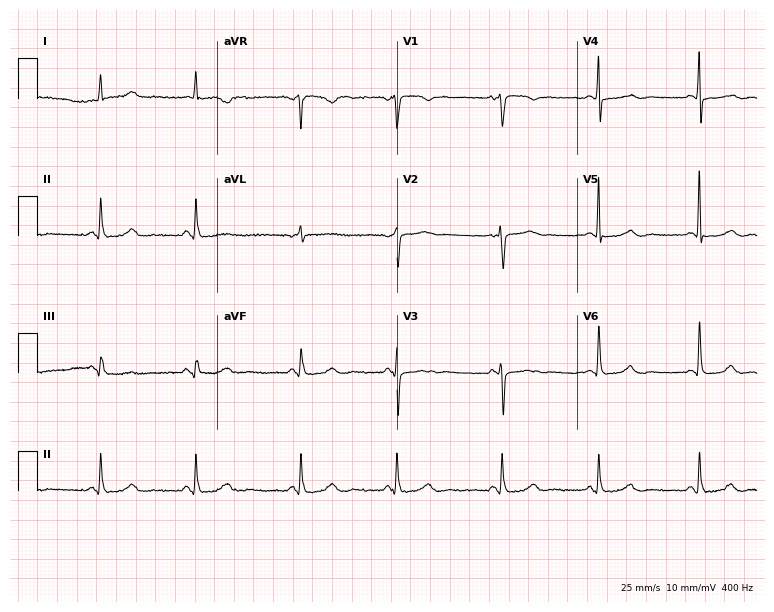
ECG (7.3-second recording at 400 Hz) — an 80-year-old female patient. Screened for six findings — first-degree AV block, right bundle branch block (RBBB), left bundle branch block (LBBB), sinus bradycardia, atrial fibrillation (AF), sinus tachycardia — none is recorded.